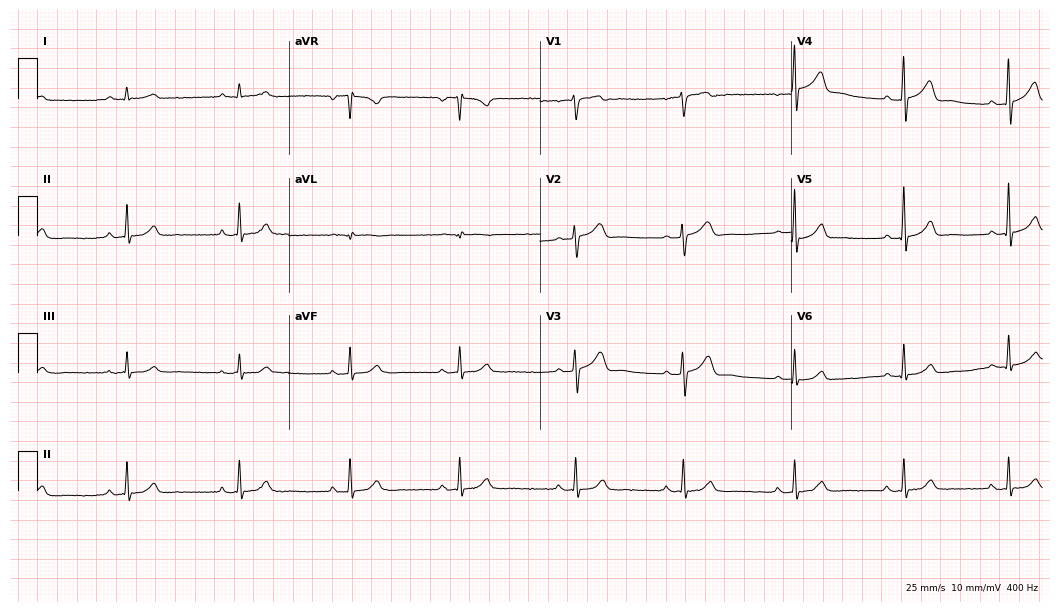
12-lead ECG from a 42-year-old man (10.2-second recording at 400 Hz). No first-degree AV block, right bundle branch block, left bundle branch block, sinus bradycardia, atrial fibrillation or sinus tachycardia recorded for this tracing.